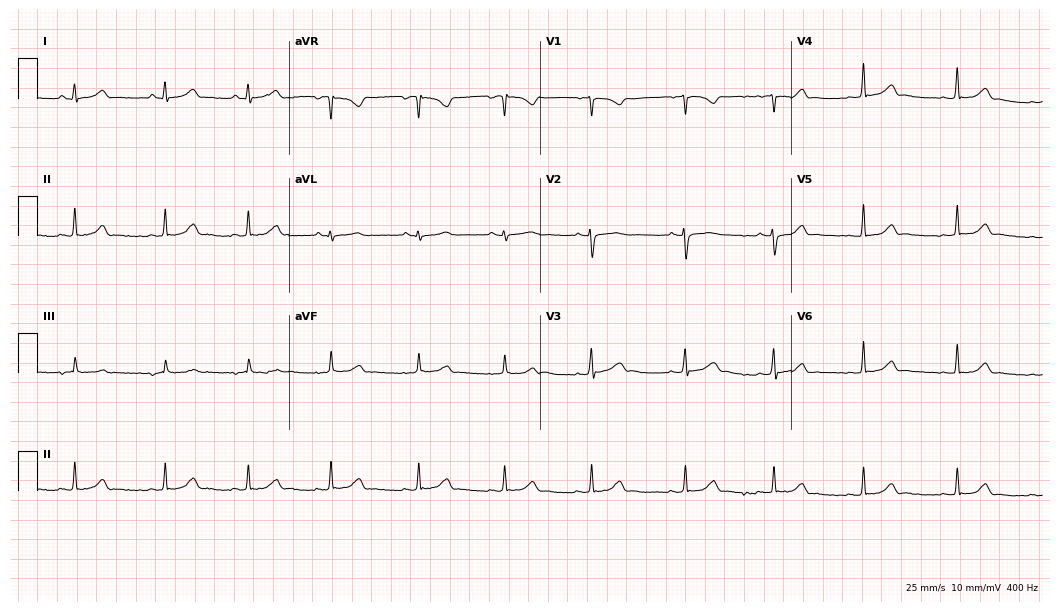
Electrocardiogram, a 19-year-old woman. Overall reading on record: normal ECG.